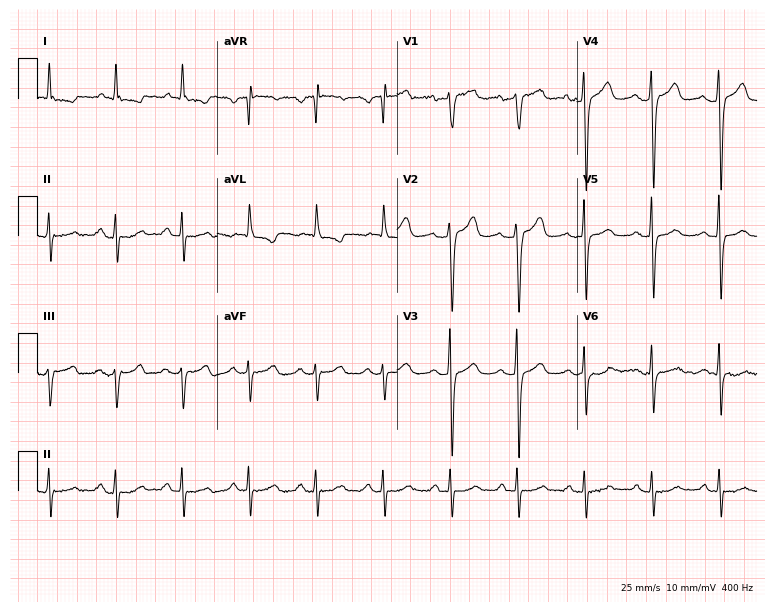
Standard 12-lead ECG recorded from a 56-year-old female (7.3-second recording at 400 Hz). None of these six findings is recorded: first-degree AV block, right bundle branch block, left bundle branch block, sinus bradycardia, atrial fibrillation, sinus tachycardia.